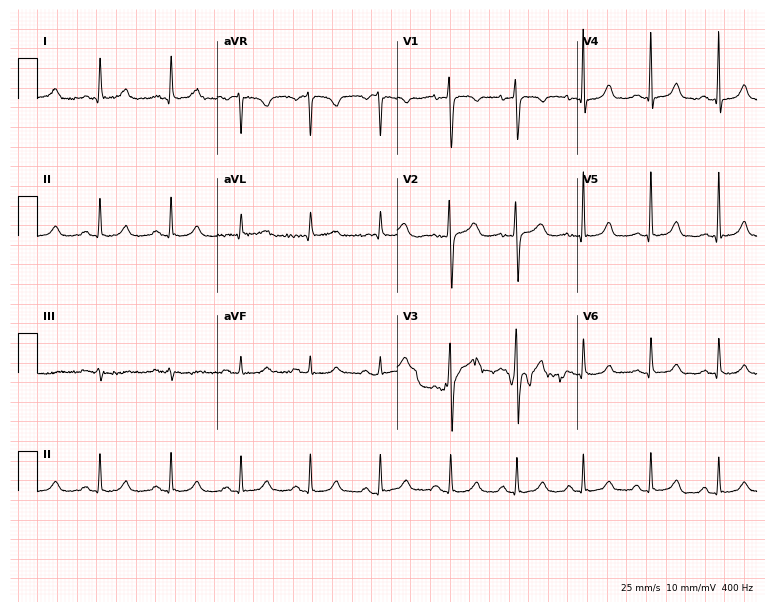
Resting 12-lead electrocardiogram (7.3-second recording at 400 Hz). Patient: a female, 57 years old. Read as a normal ECG.